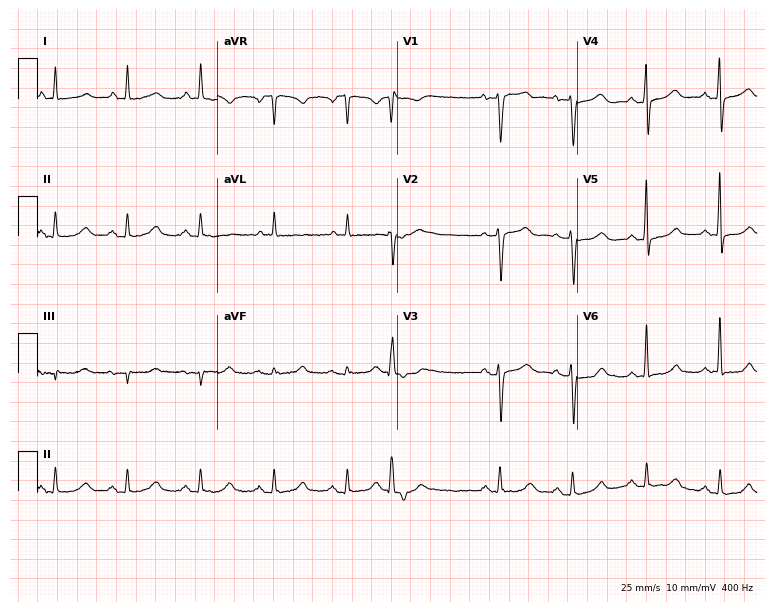
12-lead ECG (7.3-second recording at 400 Hz) from a 53-year-old woman. Screened for six findings — first-degree AV block, right bundle branch block, left bundle branch block, sinus bradycardia, atrial fibrillation, sinus tachycardia — none is recorded. Findings outside these six are not listed.